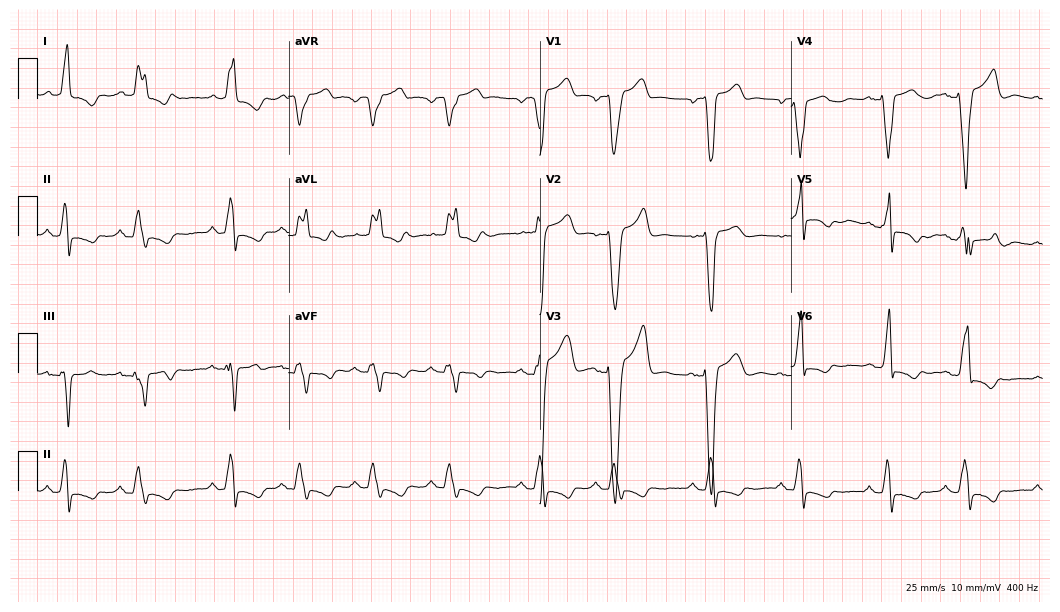
12-lead ECG from a 72-year-old male patient. Findings include left bundle branch block.